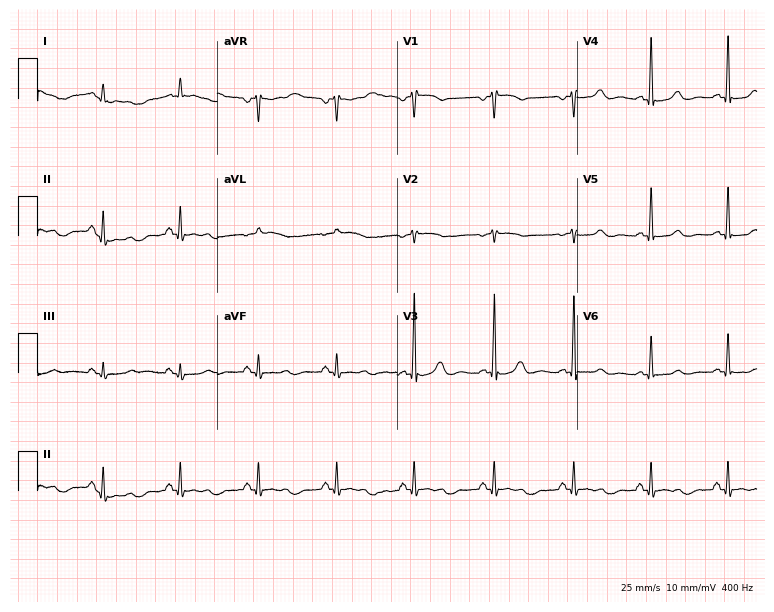
12-lead ECG (7.3-second recording at 400 Hz) from a 63-year-old female patient. Labelled as a normal ECG.